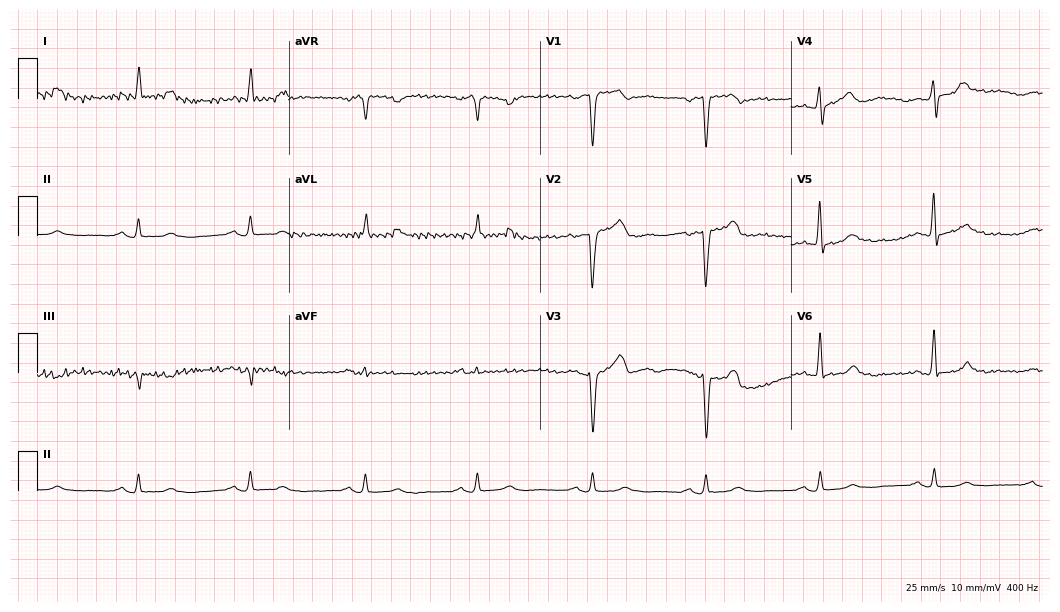
Standard 12-lead ECG recorded from a male patient, 85 years old. None of these six findings is recorded: first-degree AV block, right bundle branch block (RBBB), left bundle branch block (LBBB), sinus bradycardia, atrial fibrillation (AF), sinus tachycardia.